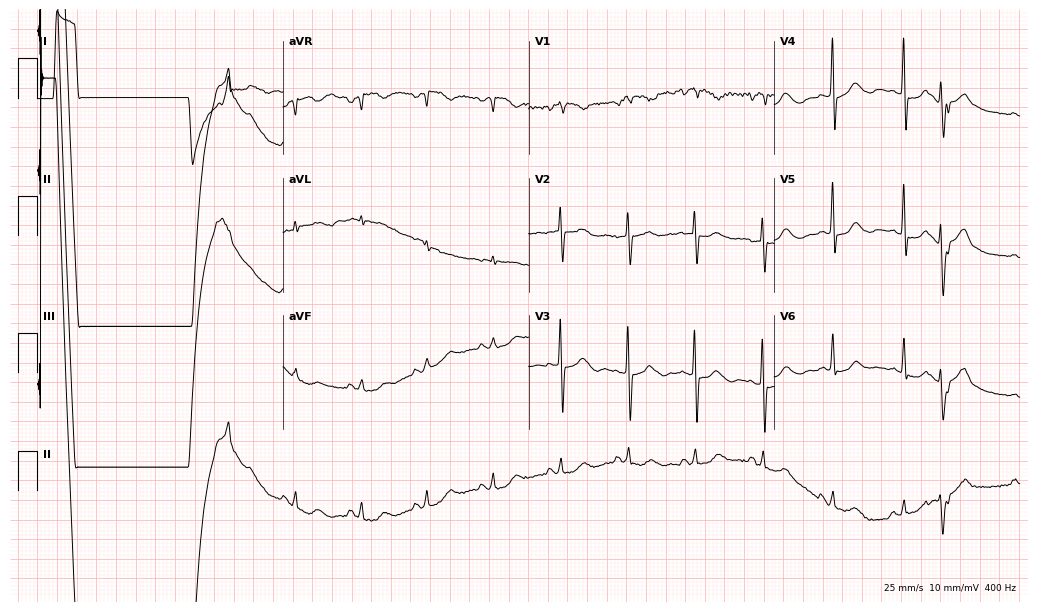
ECG (10-second recording at 400 Hz) — an 82-year-old female. Labelled as a normal ECG.